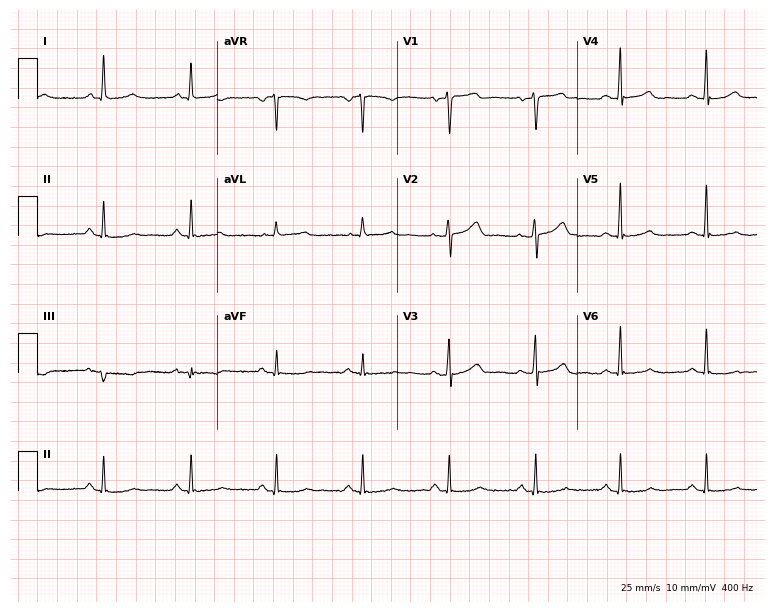
Electrocardiogram (7.3-second recording at 400 Hz), a male patient, 58 years old. Of the six screened findings (first-degree AV block, right bundle branch block, left bundle branch block, sinus bradycardia, atrial fibrillation, sinus tachycardia), none is recorded. Other findings, if any, are not listed.